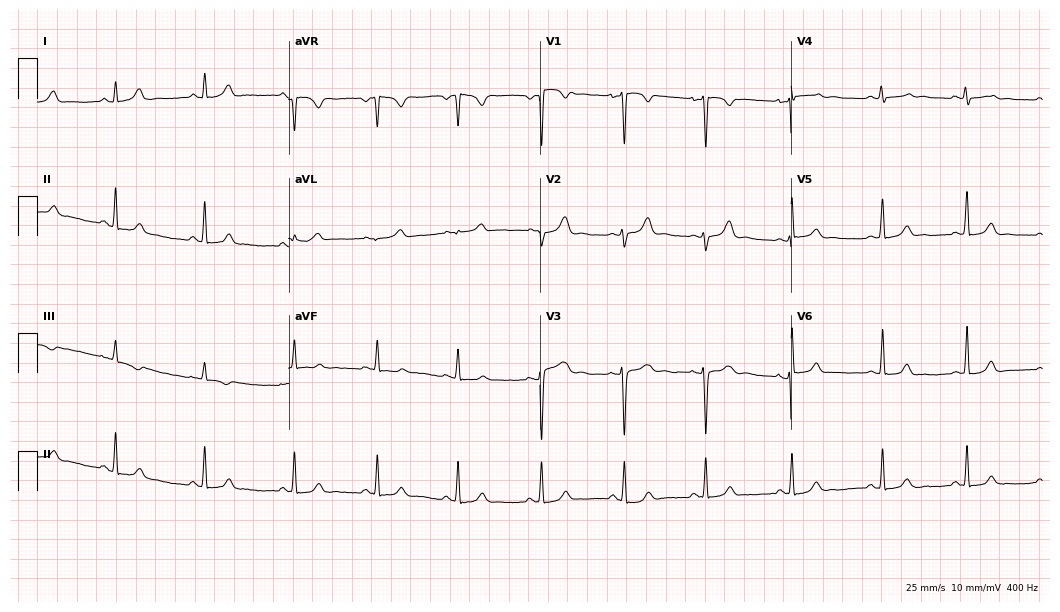
Resting 12-lead electrocardiogram (10.2-second recording at 400 Hz). Patient: a 28-year-old woman. Read as a normal ECG.